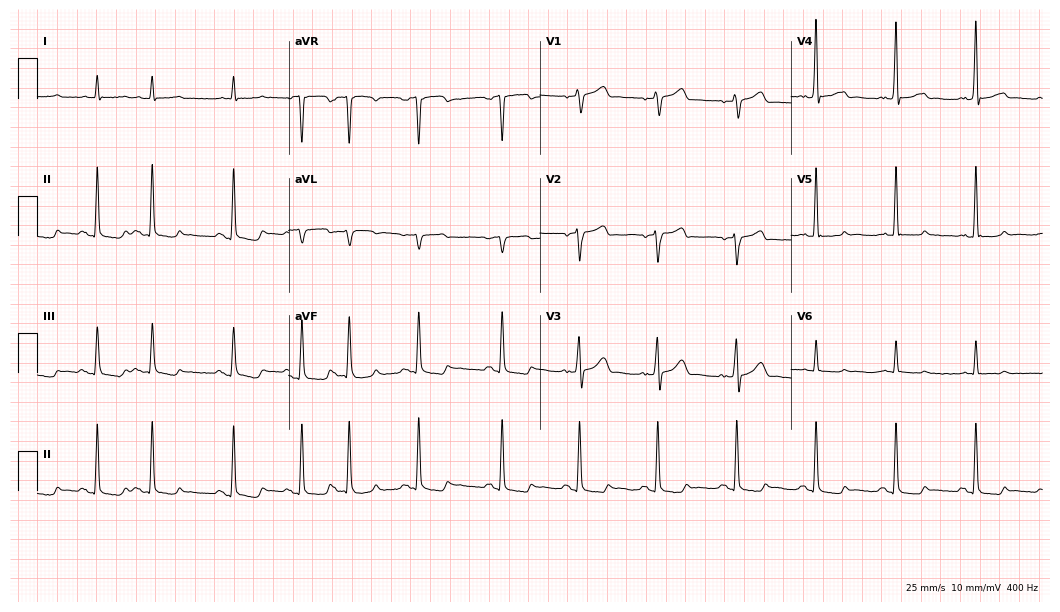
Electrocardiogram, a 68-year-old male. Of the six screened findings (first-degree AV block, right bundle branch block, left bundle branch block, sinus bradycardia, atrial fibrillation, sinus tachycardia), none is recorded. Only these six findings were labelled.